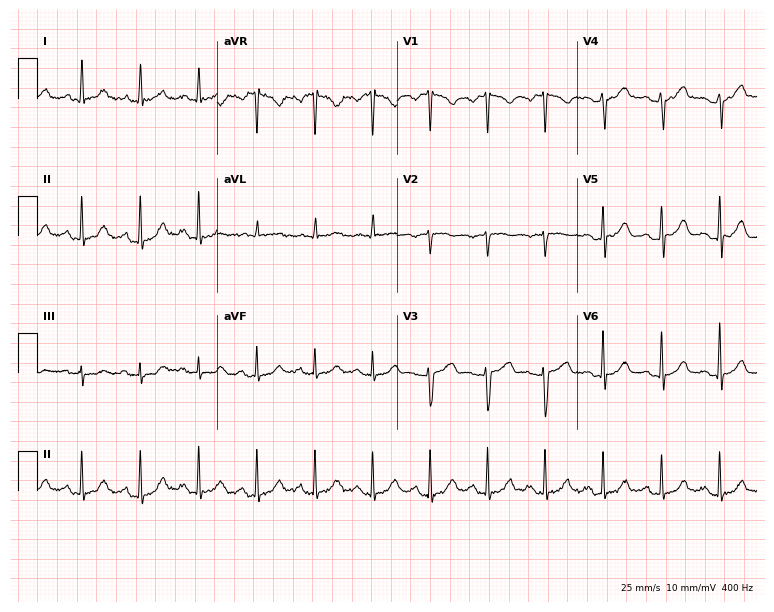
ECG (7.3-second recording at 400 Hz) — a woman, 46 years old. Screened for six findings — first-degree AV block, right bundle branch block (RBBB), left bundle branch block (LBBB), sinus bradycardia, atrial fibrillation (AF), sinus tachycardia — none is recorded. Other findings, if any, are not listed.